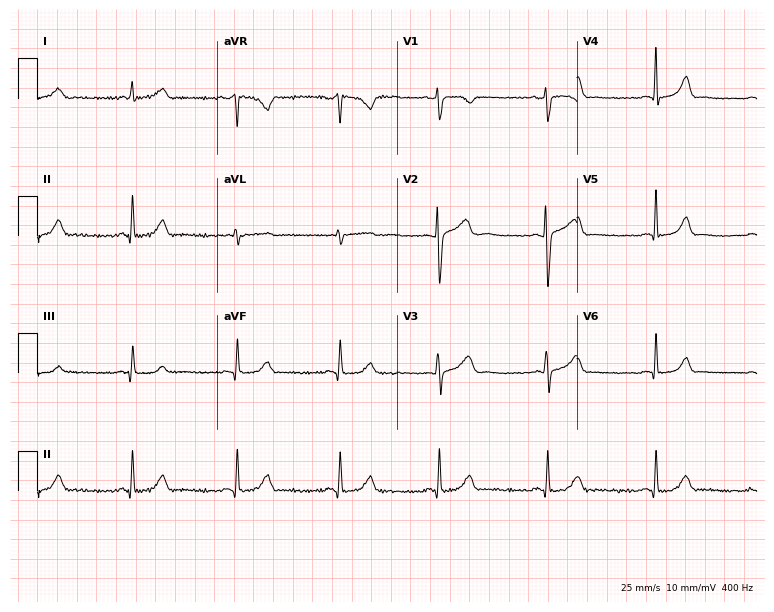
Resting 12-lead electrocardiogram (7.3-second recording at 400 Hz). Patient: a female, 30 years old. Read as a normal ECG.